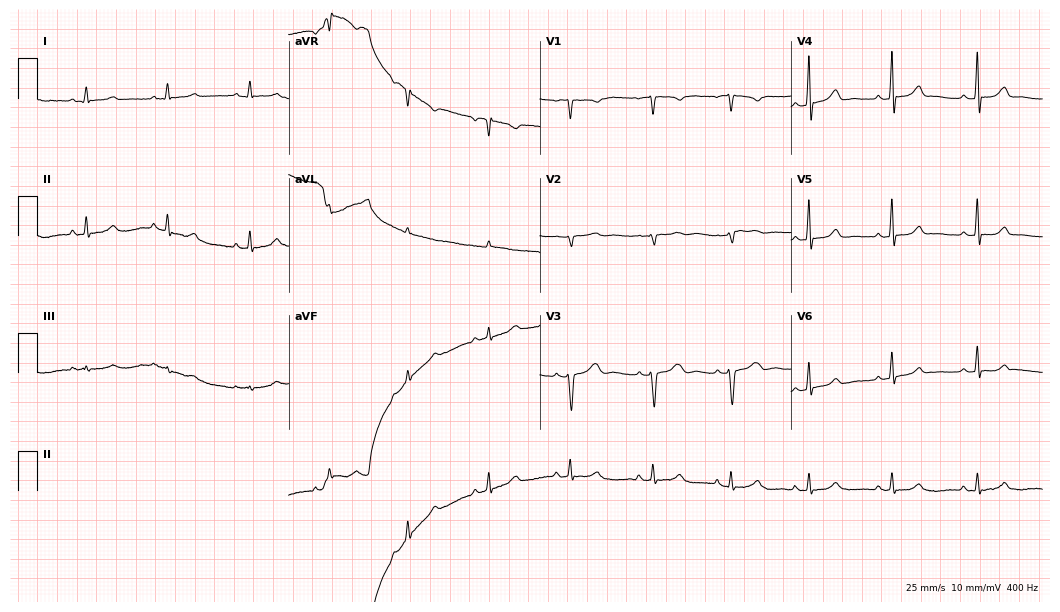
Standard 12-lead ECG recorded from a female, 34 years old (10.2-second recording at 400 Hz). None of these six findings is recorded: first-degree AV block, right bundle branch block, left bundle branch block, sinus bradycardia, atrial fibrillation, sinus tachycardia. Other findings, if any, are not listed.